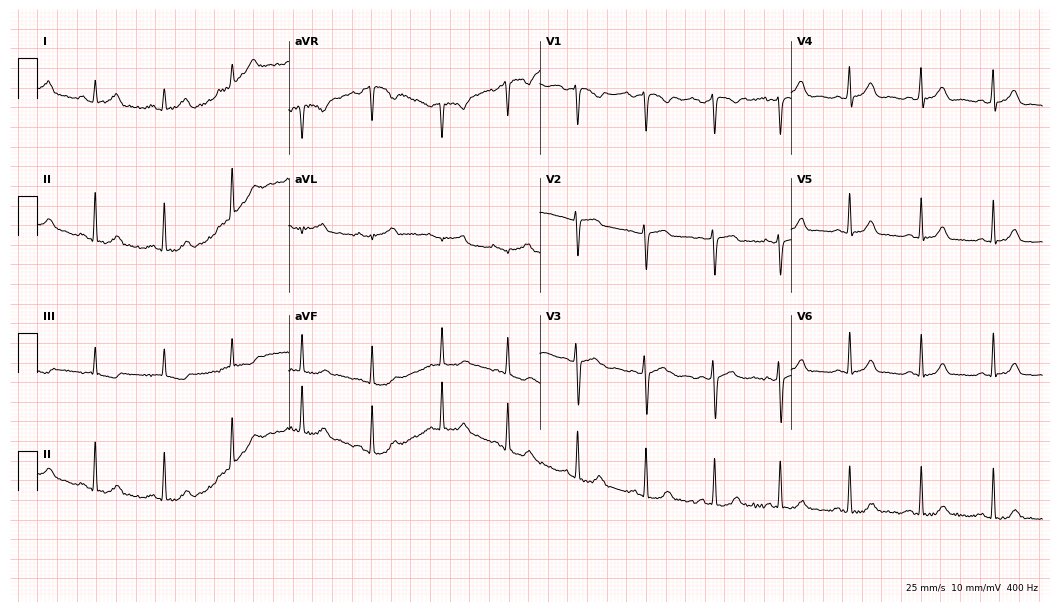
Electrocardiogram, a female, 23 years old. Overall reading on record: normal ECG.